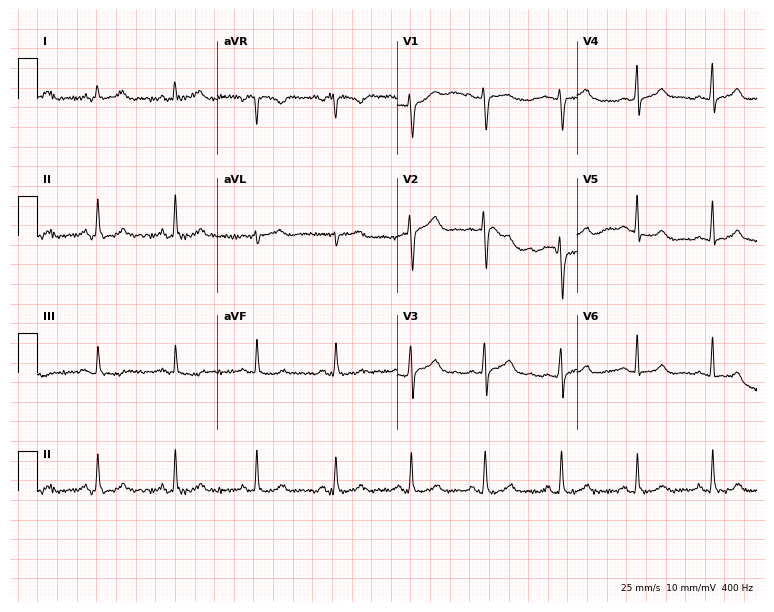
12-lead ECG from a woman, 26 years old. Screened for six findings — first-degree AV block, right bundle branch block, left bundle branch block, sinus bradycardia, atrial fibrillation, sinus tachycardia — none is recorded. Only these six findings were labelled.